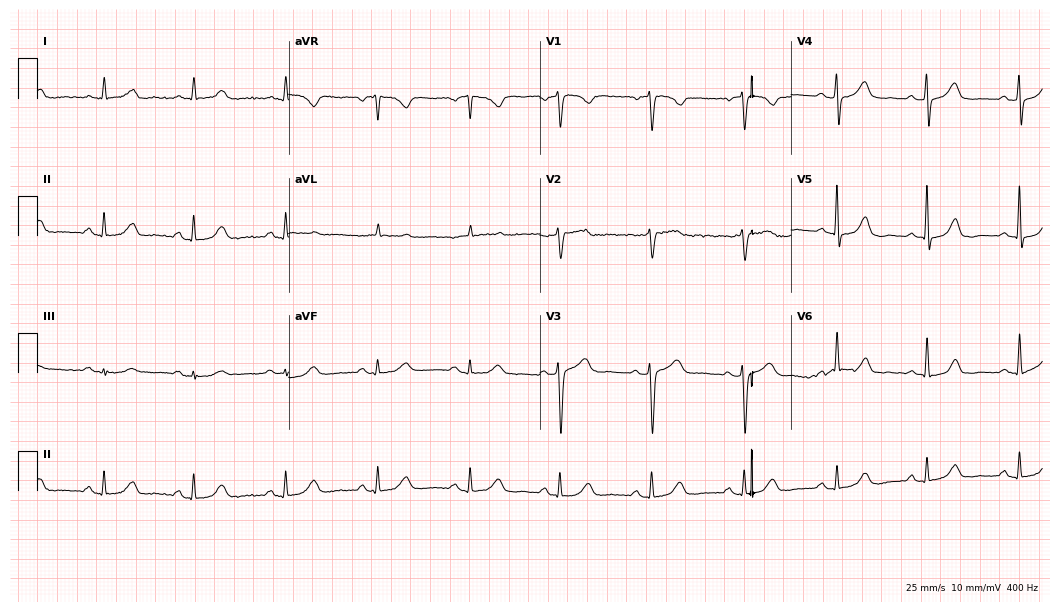
ECG (10.2-second recording at 400 Hz) — a 66-year-old female. Labelled as a normal ECG.